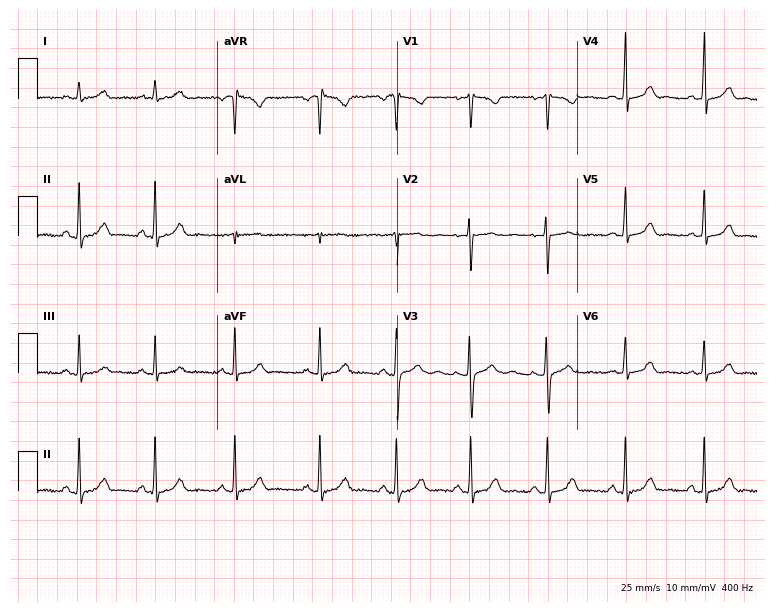
12-lead ECG from a woman, 21 years old. No first-degree AV block, right bundle branch block (RBBB), left bundle branch block (LBBB), sinus bradycardia, atrial fibrillation (AF) or sinus tachycardia recorded for this tracing.